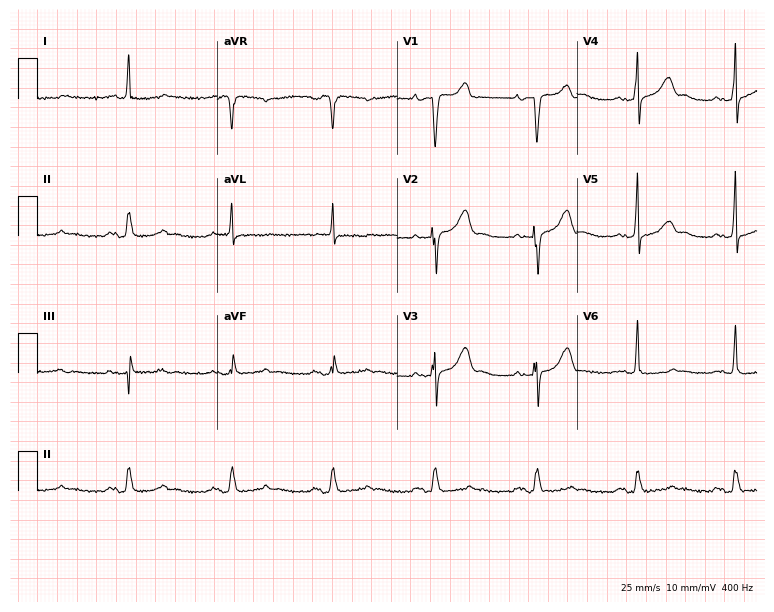
12-lead ECG from a man, 81 years old. Recorded interpretation: within normal limits.